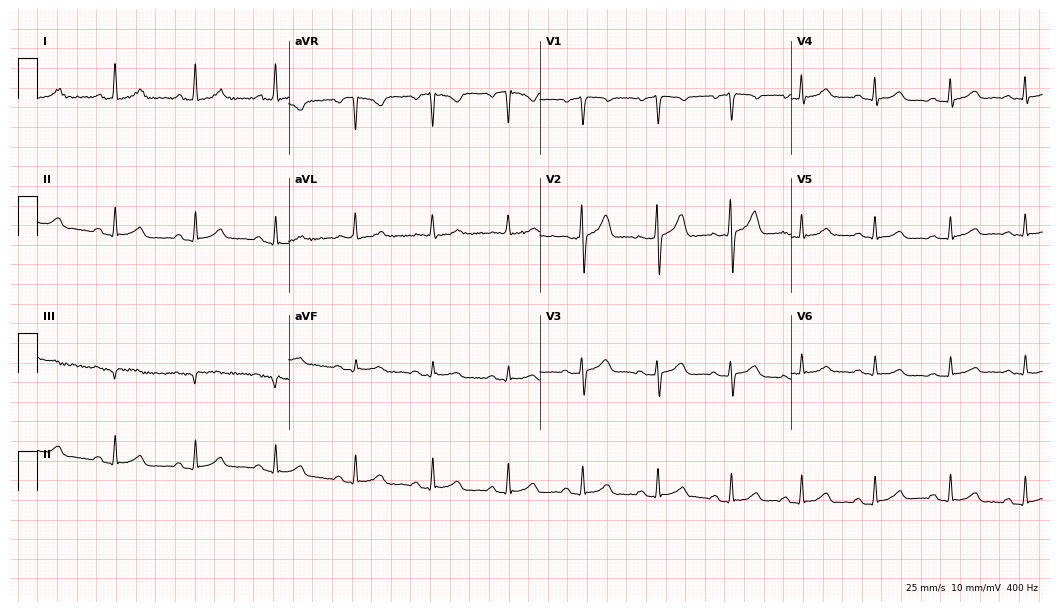
Standard 12-lead ECG recorded from a woman, 65 years old (10.2-second recording at 400 Hz). Read as a normal ECG.